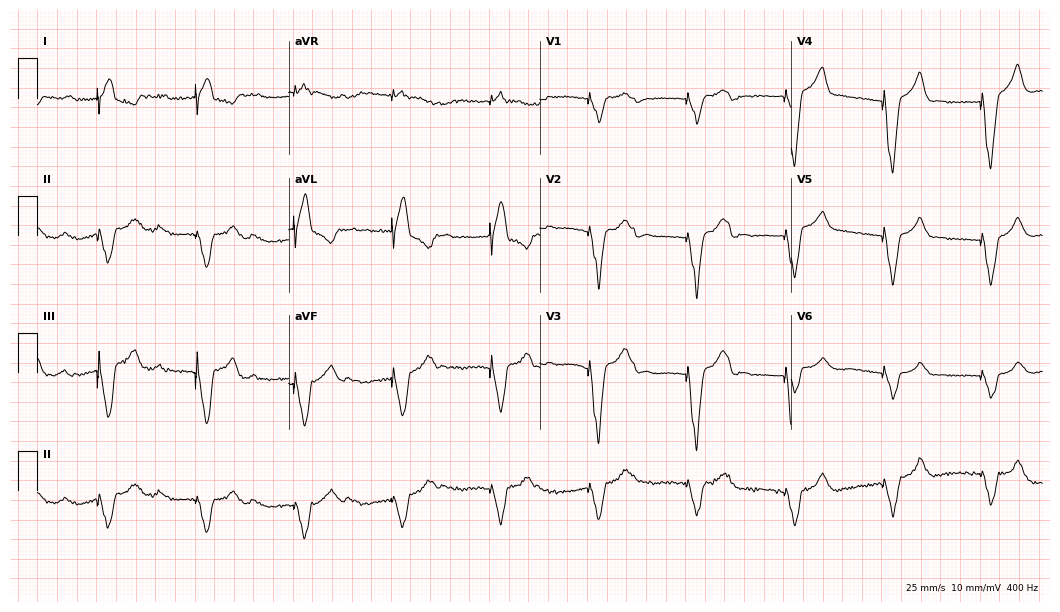
12-lead ECG from a female patient, 79 years old. Screened for six findings — first-degree AV block, right bundle branch block, left bundle branch block, sinus bradycardia, atrial fibrillation, sinus tachycardia — none is recorded.